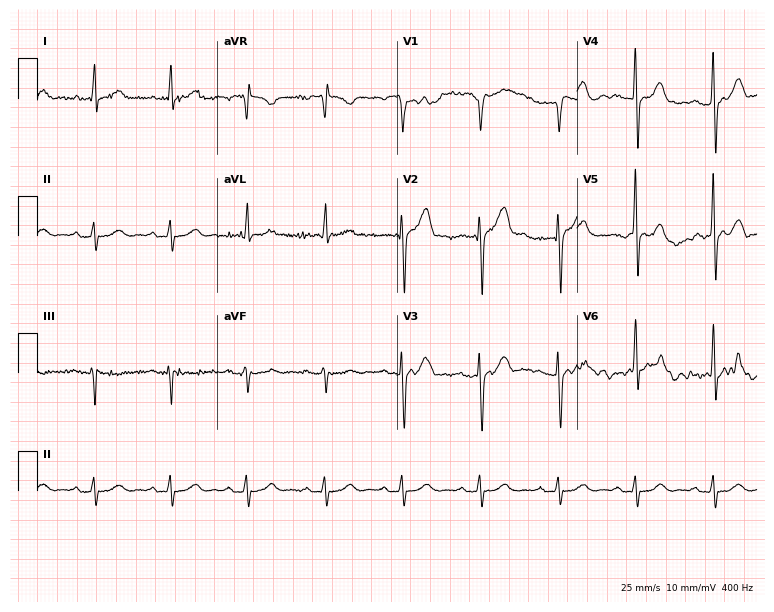
12-lead ECG from an 84-year-old male patient (7.3-second recording at 400 Hz). Shows first-degree AV block.